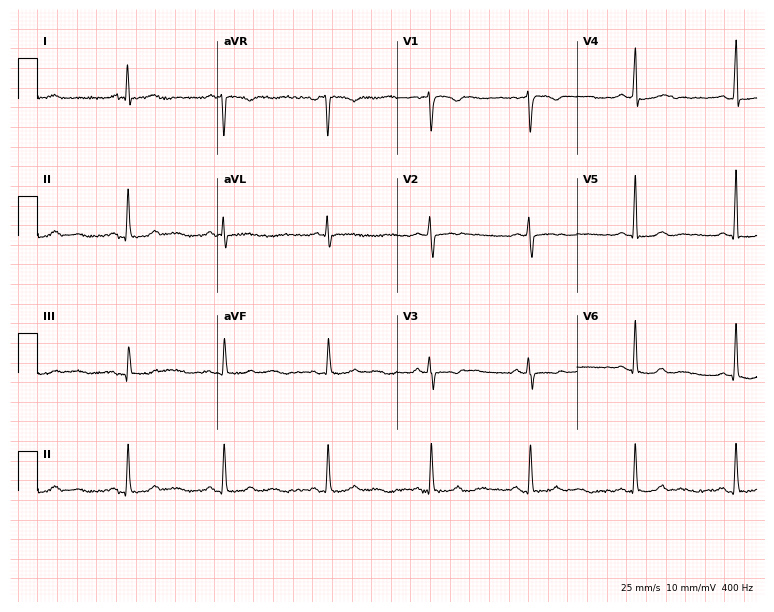
Electrocardiogram, a woman, 45 years old. Of the six screened findings (first-degree AV block, right bundle branch block (RBBB), left bundle branch block (LBBB), sinus bradycardia, atrial fibrillation (AF), sinus tachycardia), none is recorded. Other findings, if any, are not listed.